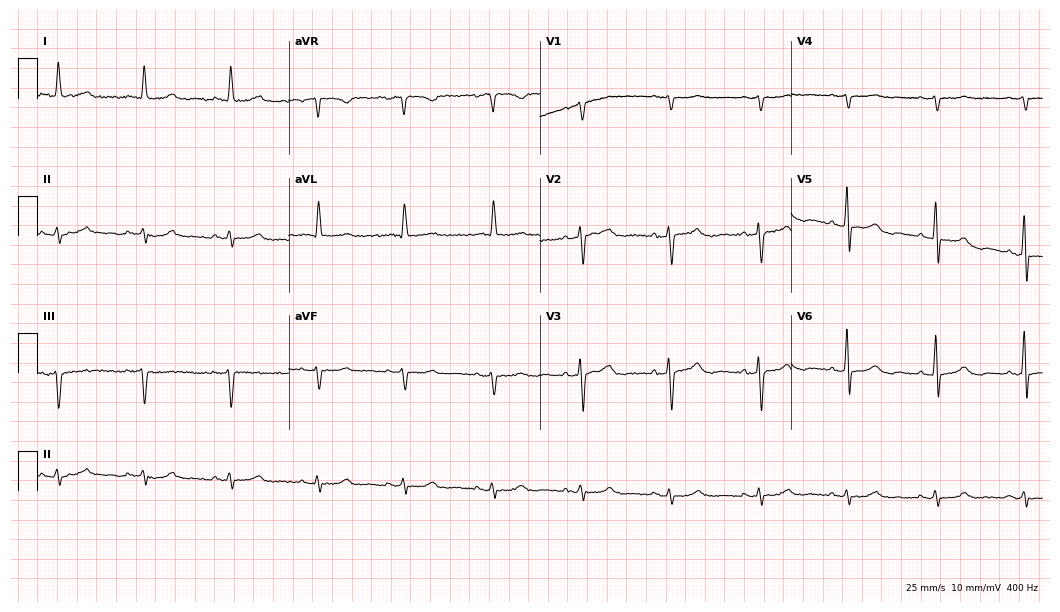
Standard 12-lead ECG recorded from a woman, 72 years old. None of these six findings is recorded: first-degree AV block, right bundle branch block, left bundle branch block, sinus bradycardia, atrial fibrillation, sinus tachycardia.